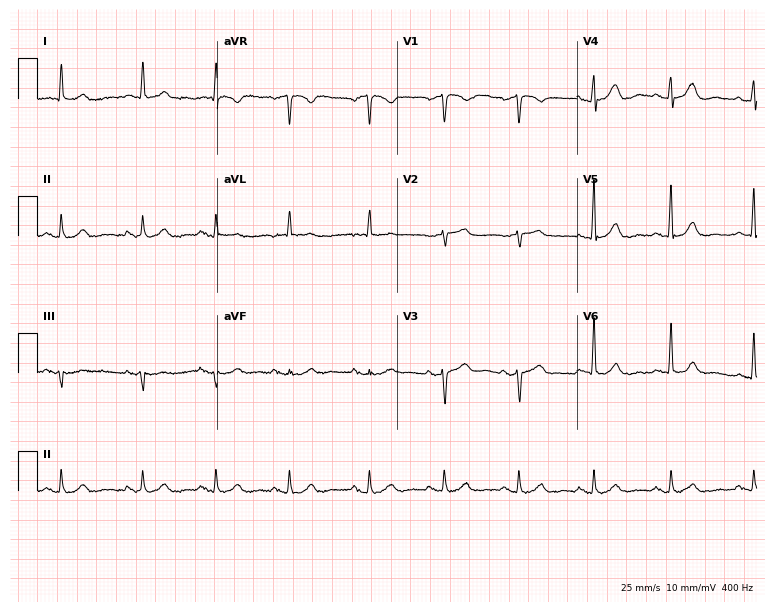
ECG — an 80-year-old male patient. Labelled as a normal ECG.